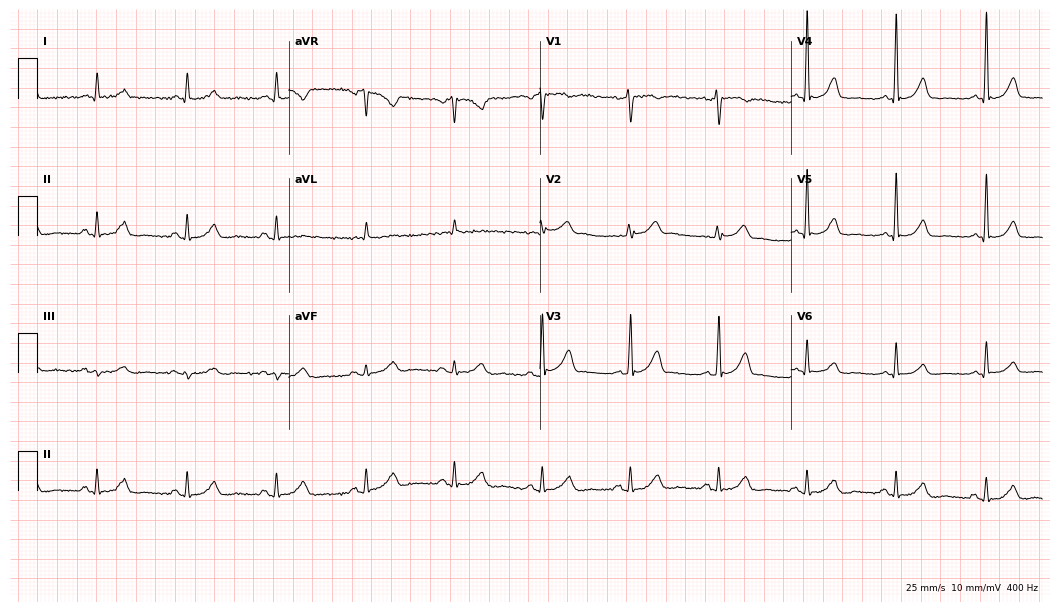
Electrocardiogram (10.2-second recording at 400 Hz), a 71-year-old man. Overall reading on record: normal ECG.